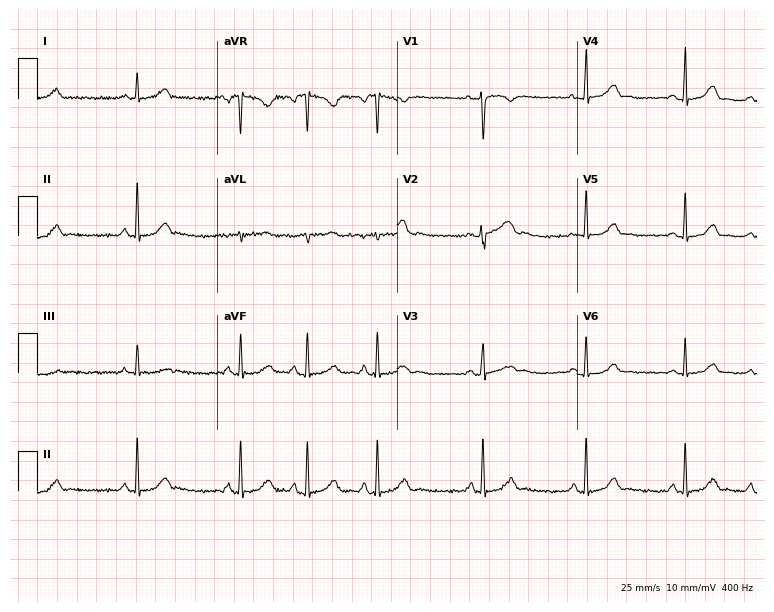
12-lead ECG (7.3-second recording at 400 Hz) from a female, 22 years old. Screened for six findings — first-degree AV block, right bundle branch block, left bundle branch block, sinus bradycardia, atrial fibrillation, sinus tachycardia — none is recorded.